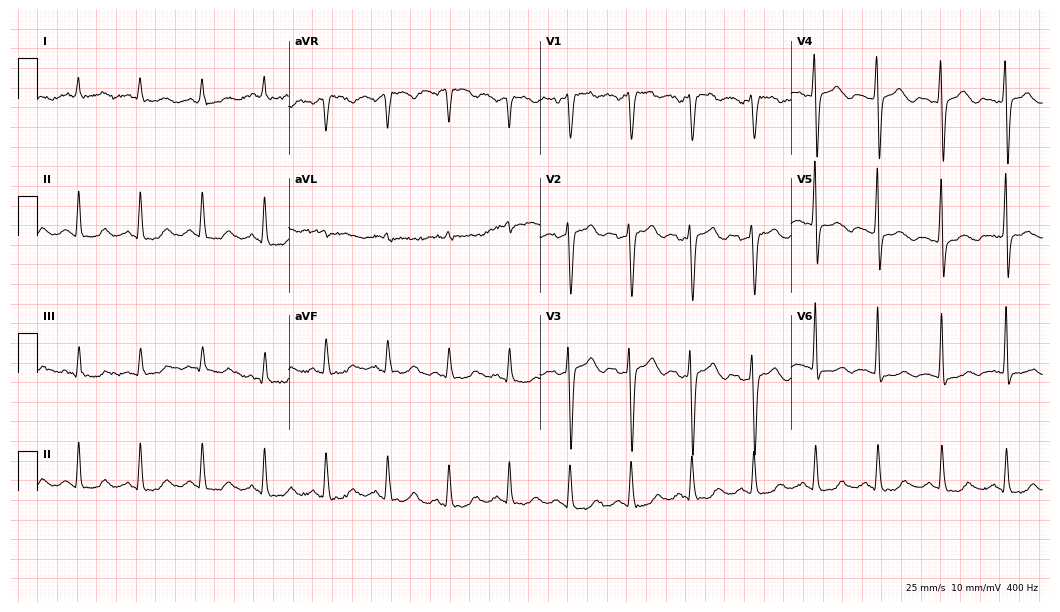
12-lead ECG from a woman, 41 years old. Recorded interpretation: within normal limits.